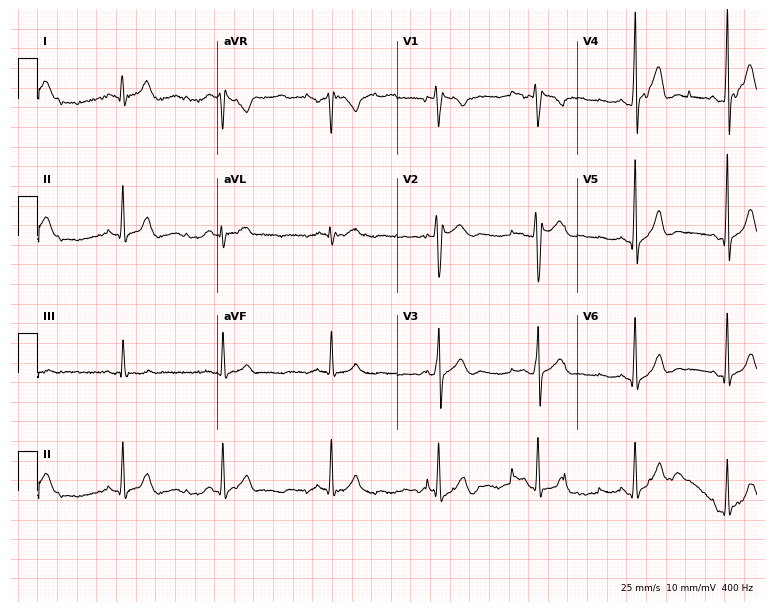
Standard 12-lead ECG recorded from a 39-year-old male (7.3-second recording at 400 Hz). Read as a normal ECG.